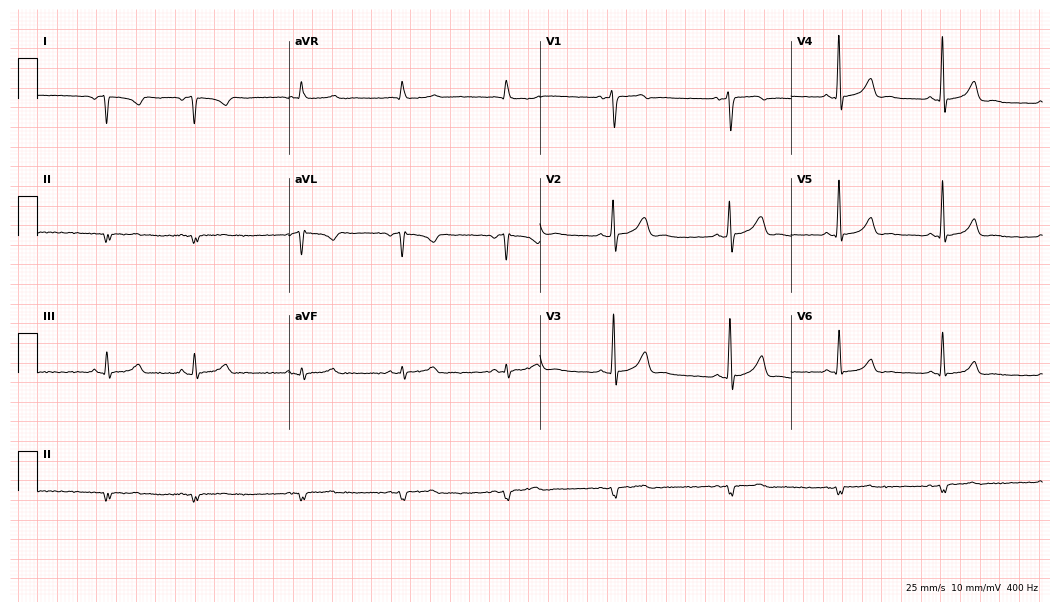
12-lead ECG from a male, 24 years old. No first-degree AV block, right bundle branch block, left bundle branch block, sinus bradycardia, atrial fibrillation or sinus tachycardia recorded for this tracing.